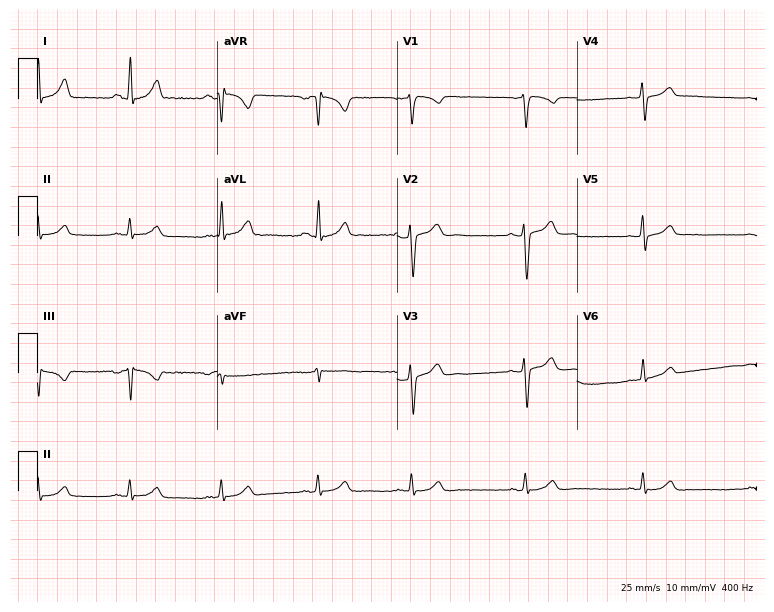
12-lead ECG from a female, 35 years old. No first-degree AV block, right bundle branch block, left bundle branch block, sinus bradycardia, atrial fibrillation or sinus tachycardia recorded for this tracing. Findings outside these six are not listed.